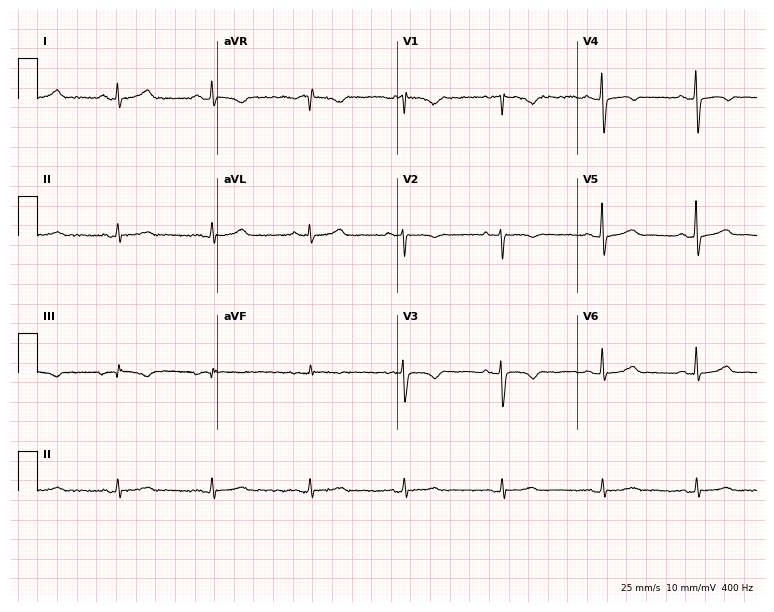
12-lead ECG from a female, 54 years old. Screened for six findings — first-degree AV block, right bundle branch block, left bundle branch block, sinus bradycardia, atrial fibrillation, sinus tachycardia — none is recorded.